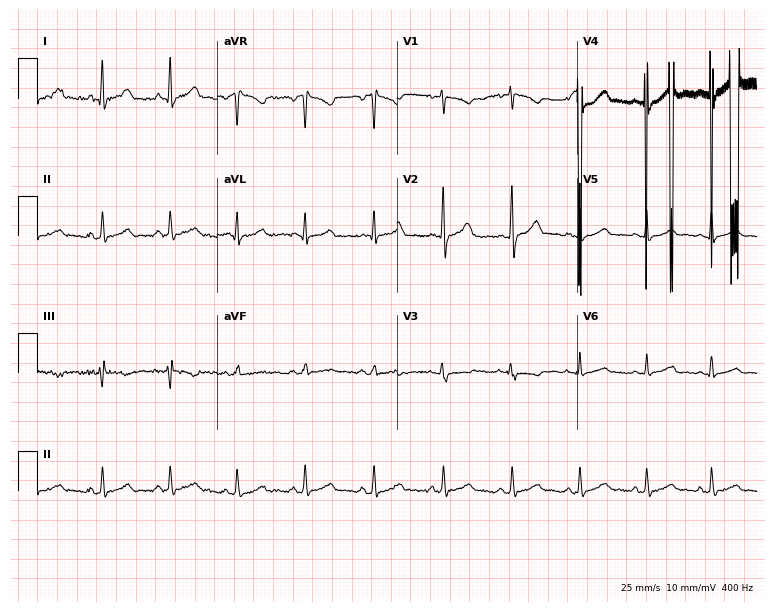
Electrocardiogram, a 26-year-old female. Overall reading on record: normal ECG.